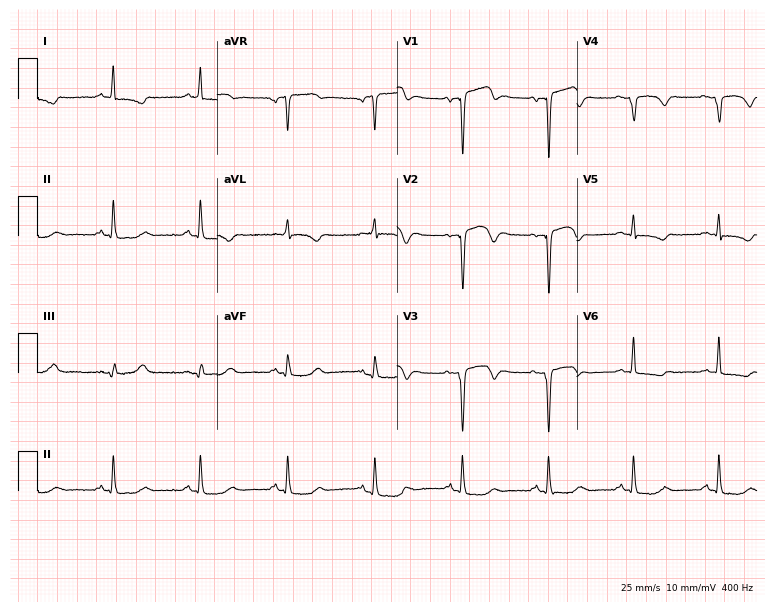
Electrocardiogram (7.3-second recording at 400 Hz), a 57-year-old male patient. Of the six screened findings (first-degree AV block, right bundle branch block, left bundle branch block, sinus bradycardia, atrial fibrillation, sinus tachycardia), none is recorded.